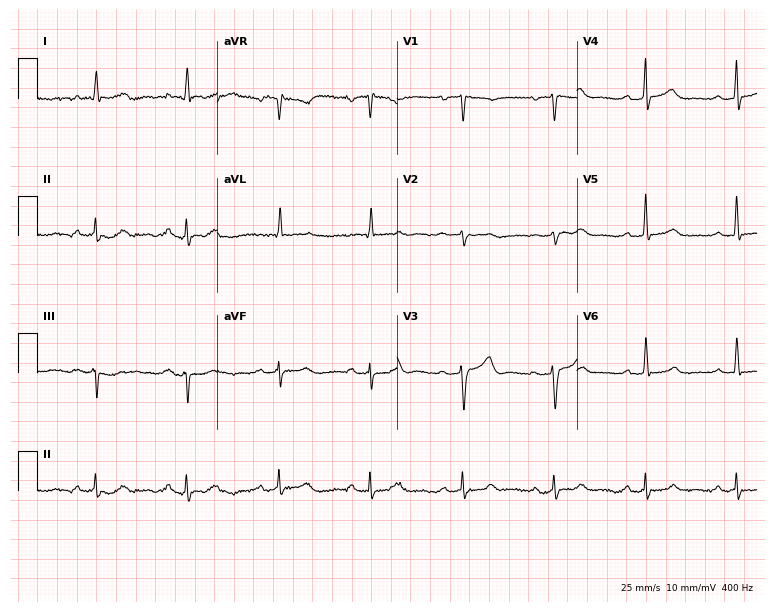
Standard 12-lead ECG recorded from a female, 46 years old. The tracing shows first-degree AV block.